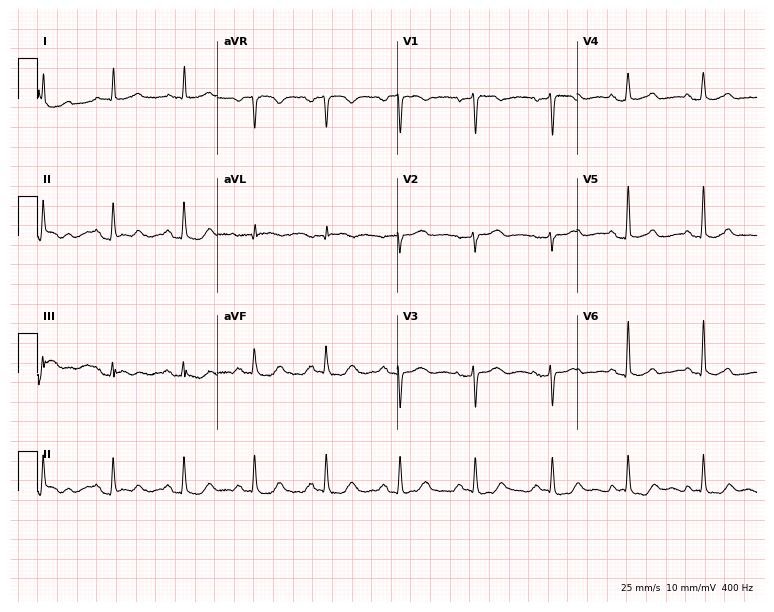
12-lead ECG from a 60-year-old female patient (7.3-second recording at 400 Hz). No first-degree AV block, right bundle branch block (RBBB), left bundle branch block (LBBB), sinus bradycardia, atrial fibrillation (AF) or sinus tachycardia recorded for this tracing. Findings outside these six are not listed.